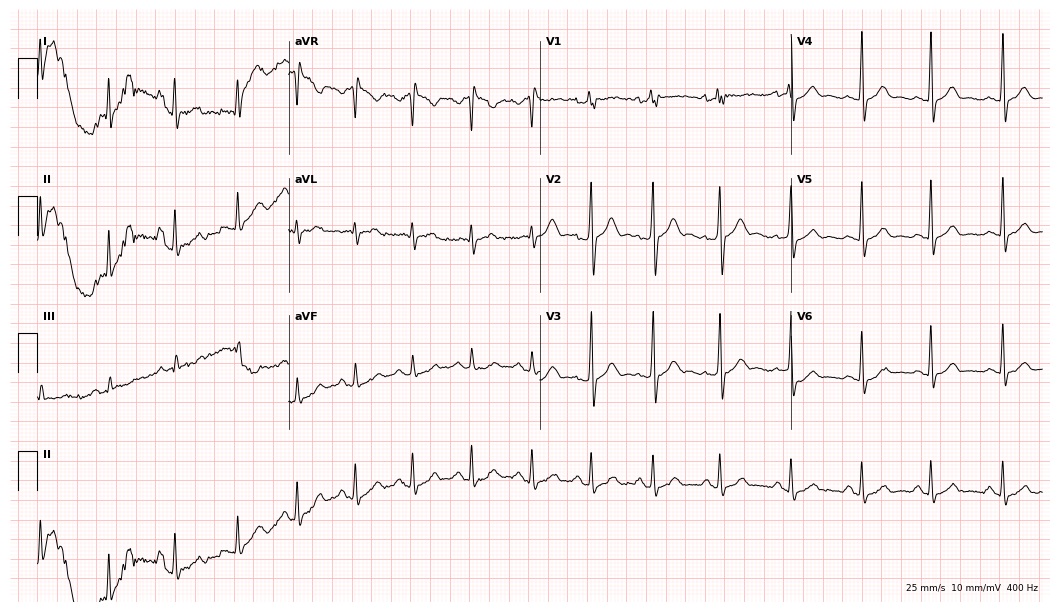
Electrocardiogram (10.2-second recording at 400 Hz), a 35-year-old male patient. Of the six screened findings (first-degree AV block, right bundle branch block, left bundle branch block, sinus bradycardia, atrial fibrillation, sinus tachycardia), none is recorded. Other findings, if any, are not listed.